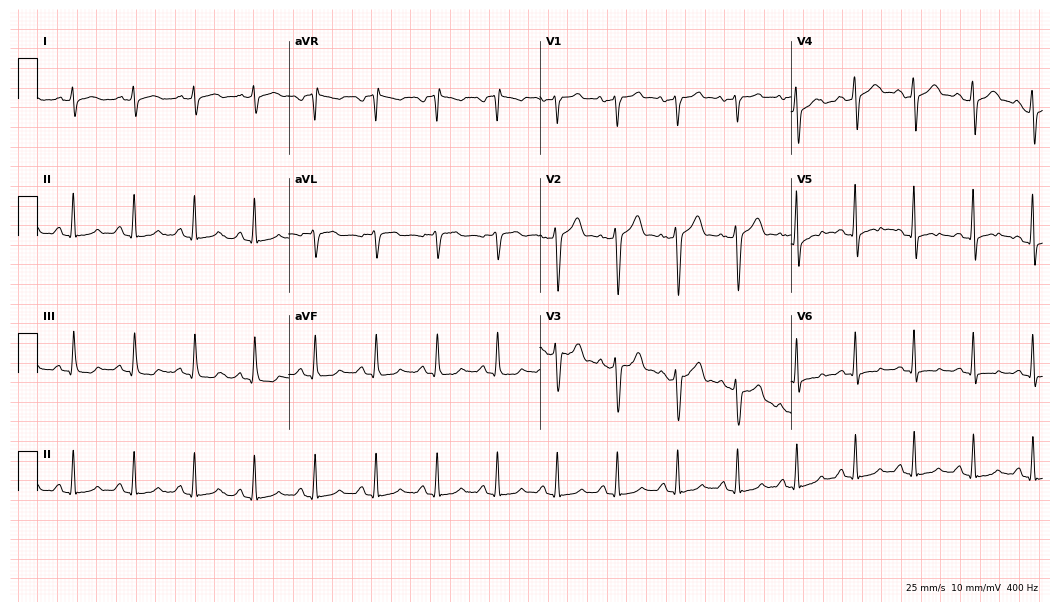
Electrocardiogram, a man, 60 years old. Of the six screened findings (first-degree AV block, right bundle branch block, left bundle branch block, sinus bradycardia, atrial fibrillation, sinus tachycardia), none is recorded.